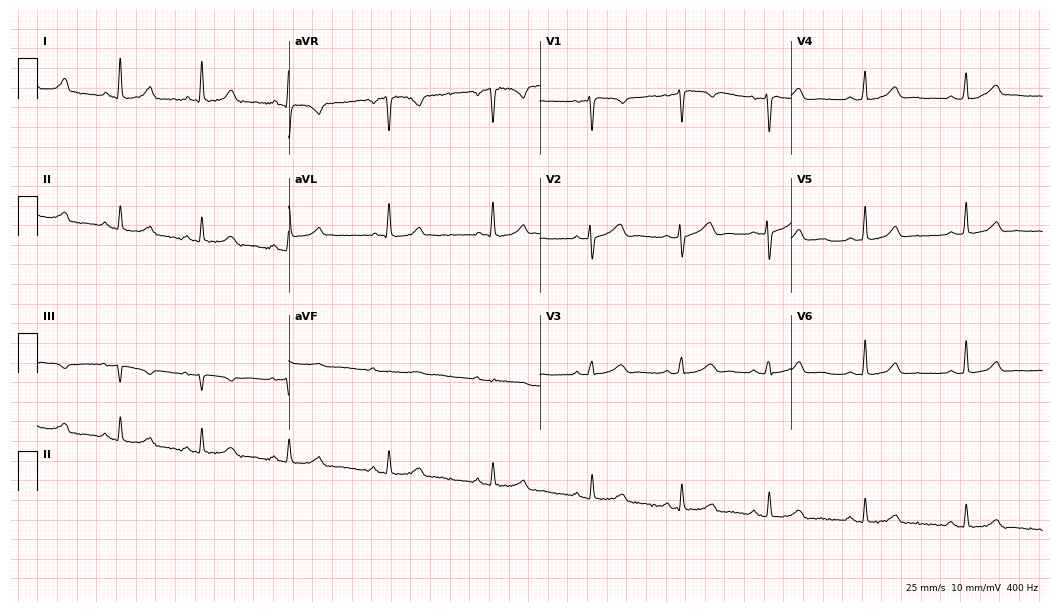
12-lead ECG (10.2-second recording at 400 Hz) from a 53-year-old woman. Labelled as a normal ECG.